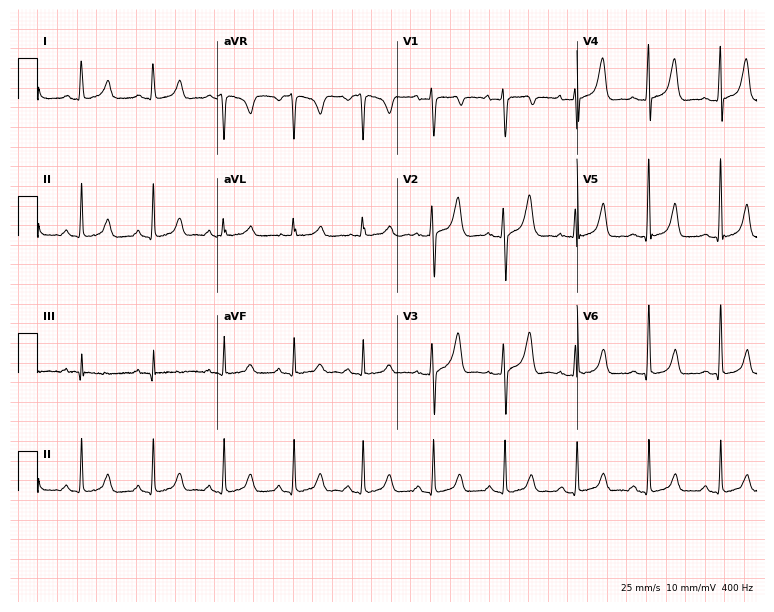
12-lead ECG from a woman, 33 years old. Recorded interpretation: within normal limits.